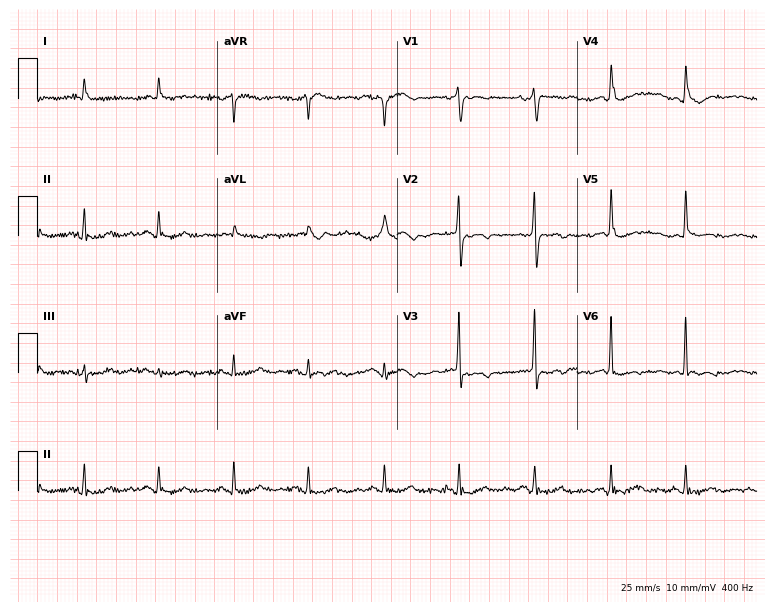
ECG — an 84-year-old female patient. Screened for six findings — first-degree AV block, right bundle branch block, left bundle branch block, sinus bradycardia, atrial fibrillation, sinus tachycardia — none is recorded. Only these six findings were labelled.